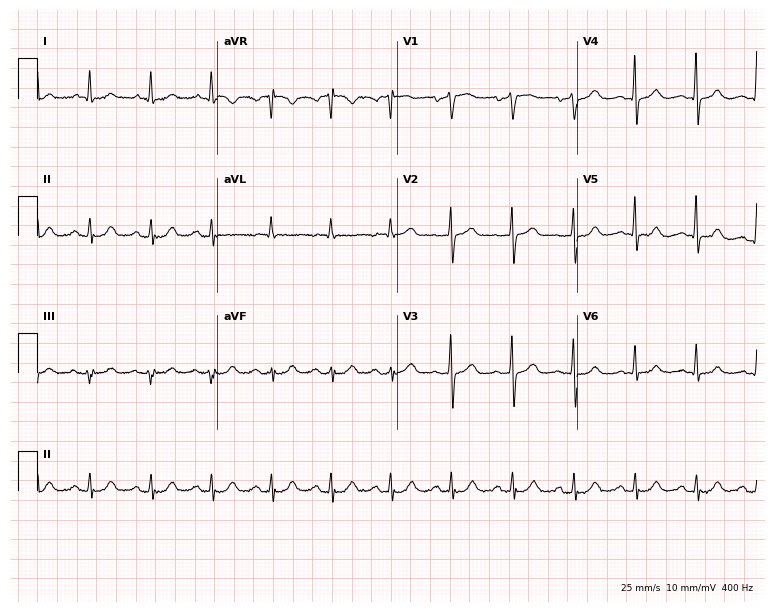
12-lead ECG from a 72-year-old man. Screened for six findings — first-degree AV block, right bundle branch block (RBBB), left bundle branch block (LBBB), sinus bradycardia, atrial fibrillation (AF), sinus tachycardia — none is recorded.